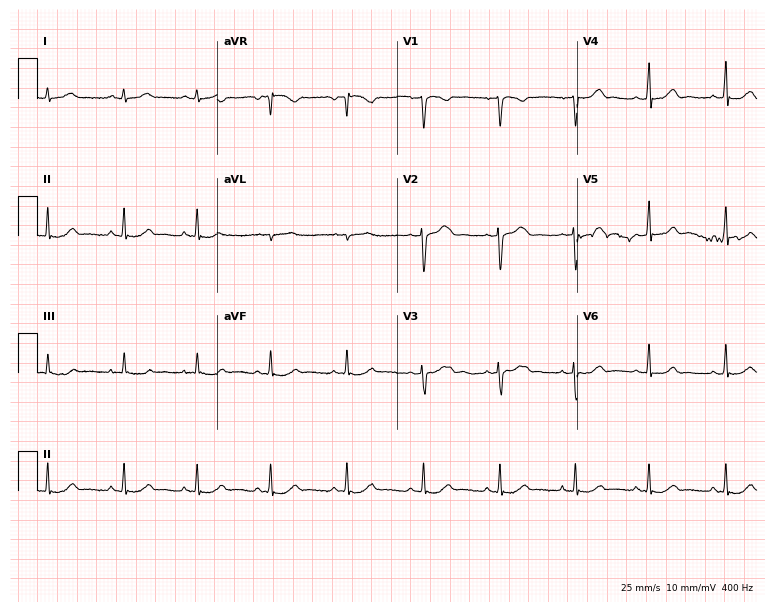
Standard 12-lead ECG recorded from a 32-year-old woman (7.3-second recording at 400 Hz). Read as a normal ECG.